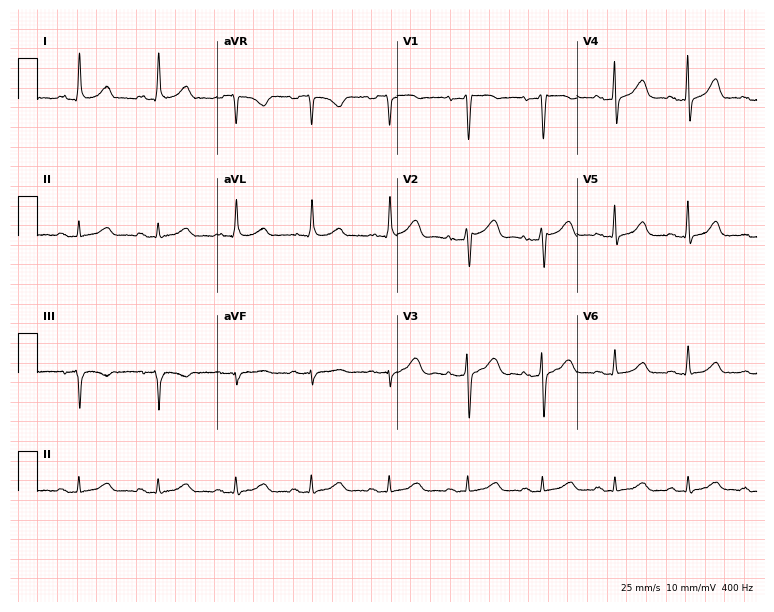
12-lead ECG from a female, 50 years old (7.3-second recording at 400 Hz). No first-degree AV block, right bundle branch block, left bundle branch block, sinus bradycardia, atrial fibrillation or sinus tachycardia recorded for this tracing. Only these six findings were labelled.